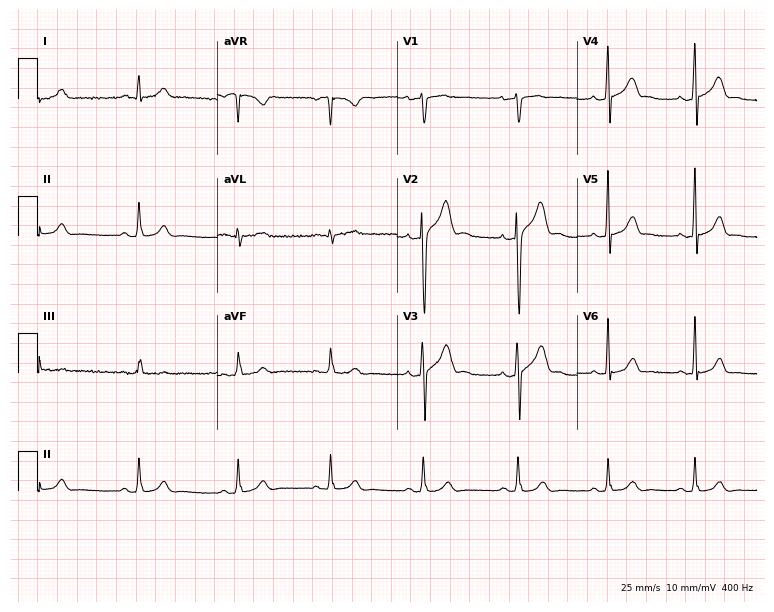
ECG — a male, 33 years old. Labelled as a normal ECG.